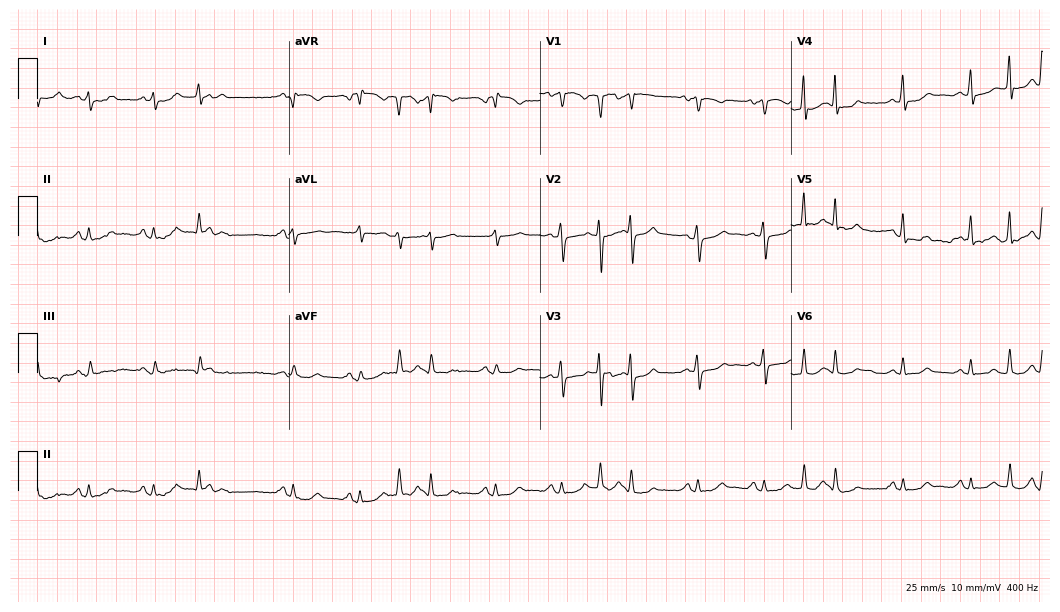
12-lead ECG from a female, 39 years old. Screened for six findings — first-degree AV block, right bundle branch block, left bundle branch block, sinus bradycardia, atrial fibrillation, sinus tachycardia — none is recorded.